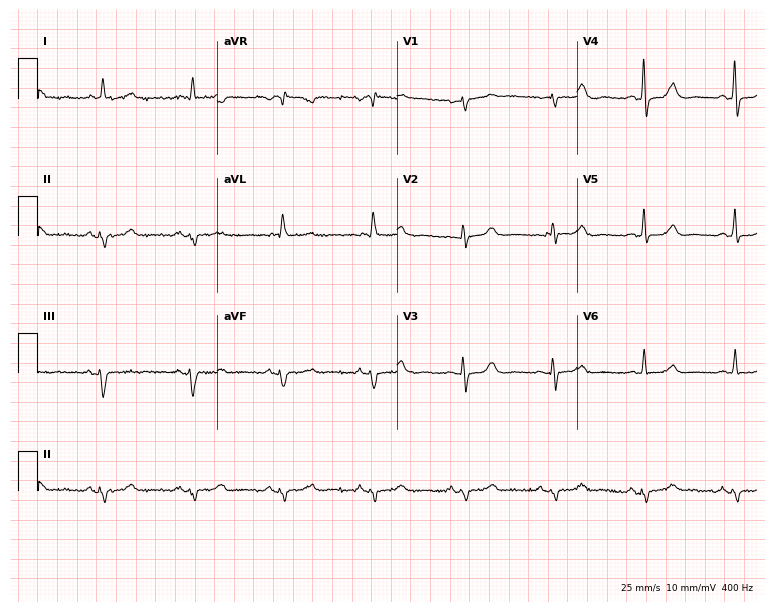
Resting 12-lead electrocardiogram. Patient: an 84-year-old woman. None of these six findings is recorded: first-degree AV block, right bundle branch block, left bundle branch block, sinus bradycardia, atrial fibrillation, sinus tachycardia. Findings outside these six are not listed.